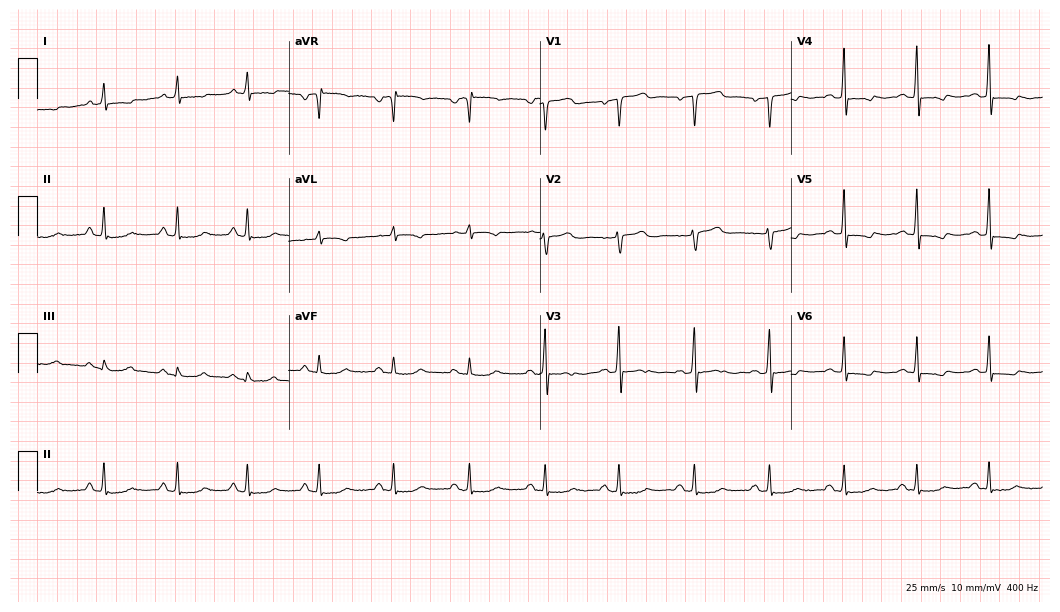
Electrocardiogram (10.2-second recording at 400 Hz), a woman, 49 years old. Of the six screened findings (first-degree AV block, right bundle branch block, left bundle branch block, sinus bradycardia, atrial fibrillation, sinus tachycardia), none is recorded. Only these six findings were labelled.